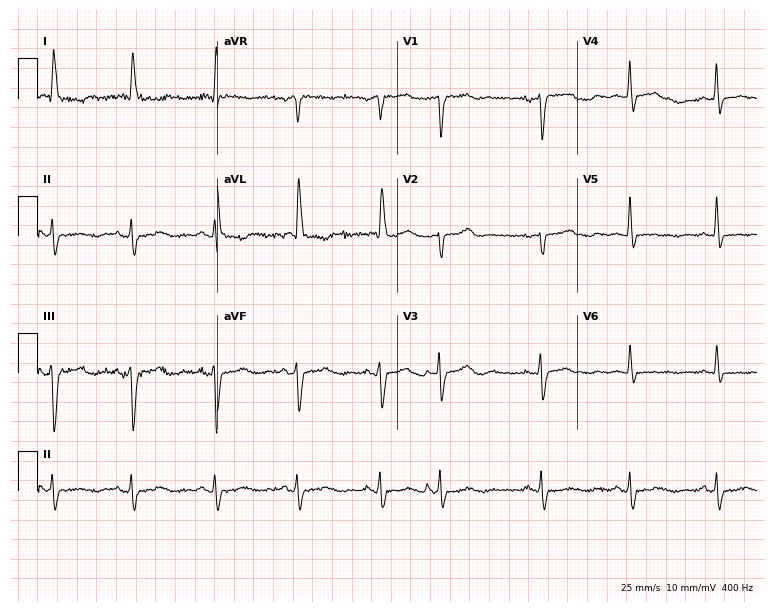
Standard 12-lead ECG recorded from a 76-year-old female patient (7.3-second recording at 400 Hz). None of these six findings is recorded: first-degree AV block, right bundle branch block, left bundle branch block, sinus bradycardia, atrial fibrillation, sinus tachycardia.